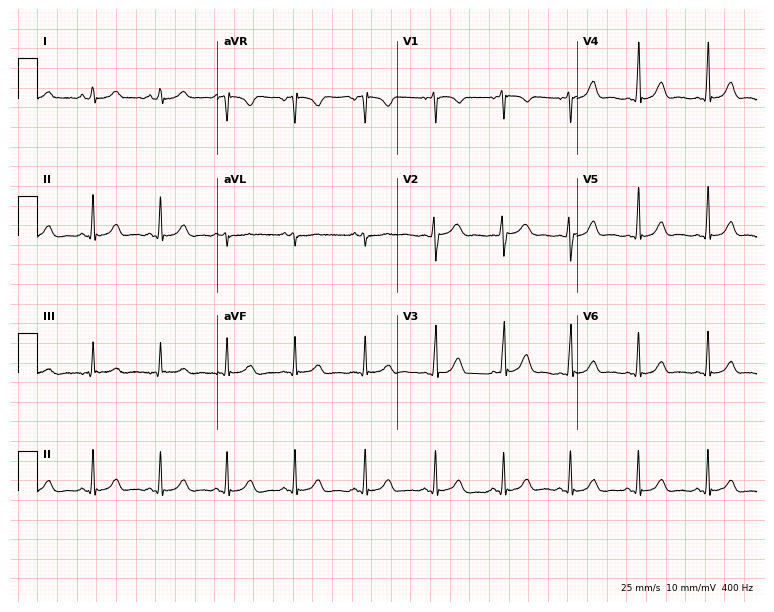
Resting 12-lead electrocardiogram (7.3-second recording at 400 Hz). Patient: a 19-year-old female. None of these six findings is recorded: first-degree AV block, right bundle branch block (RBBB), left bundle branch block (LBBB), sinus bradycardia, atrial fibrillation (AF), sinus tachycardia.